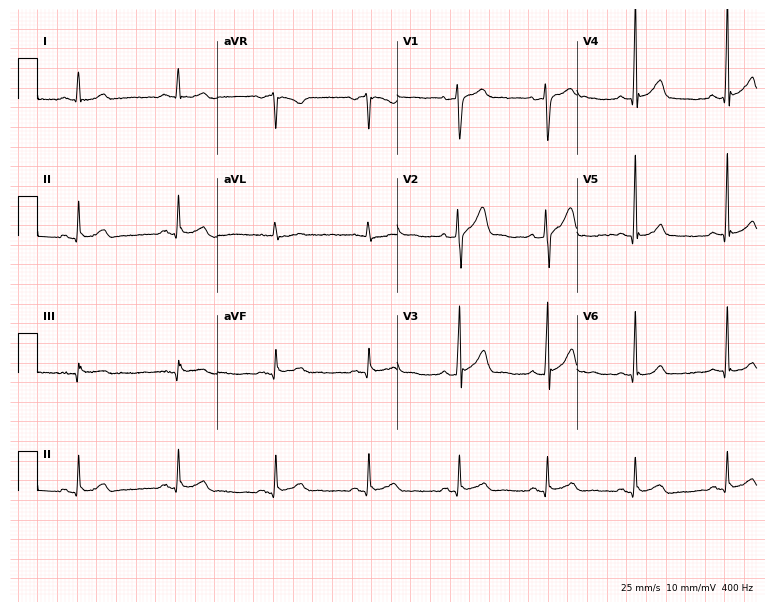
12-lead ECG from a male, 28 years old. Recorded interpretation: within normal limits.